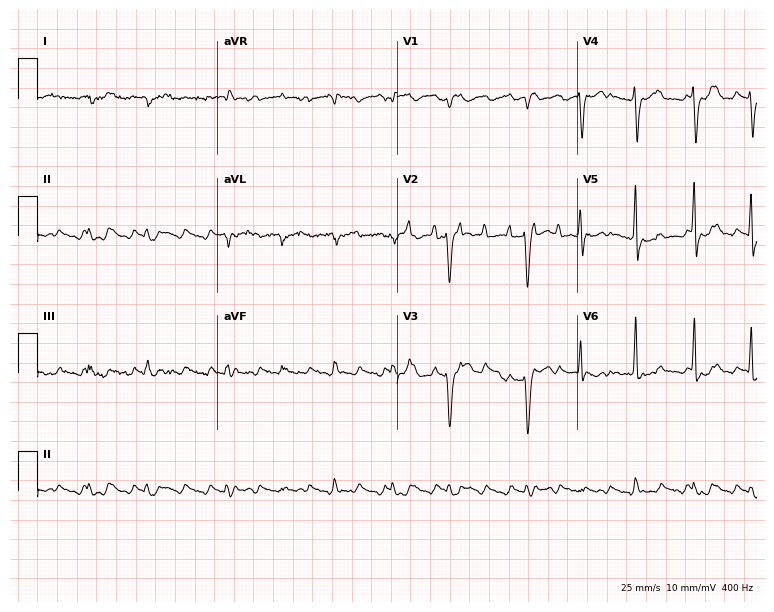
ECG (7.3-second recording at 400 Hz) — an 81-year-old woman. Screened for six findings — first-degree AV block, right bundle branch block, left bundle branch block, sinus bradycardia, atrial fibrillation, sinus tachycardia — none is recorded. Only these six findings were labelled.